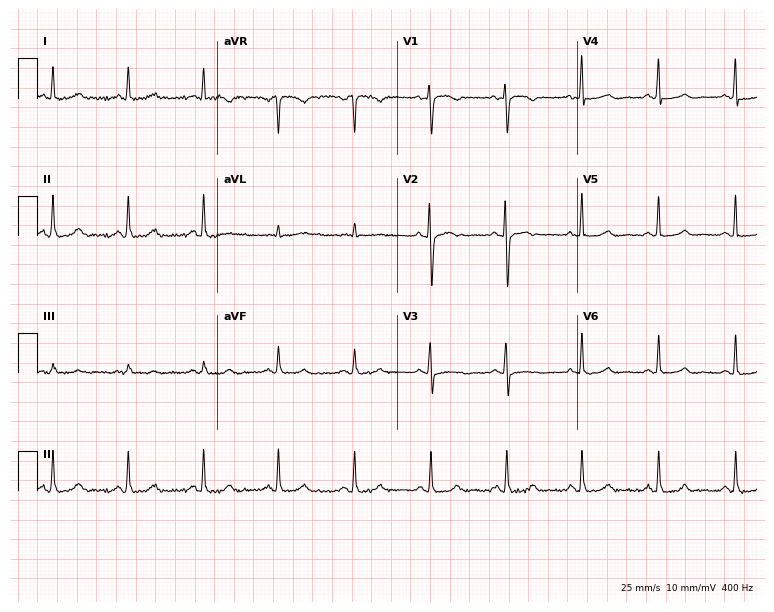
12-lead ECG from an 80-year-old female (7.3-second recording at 400 Hz). No first-degree AV block, right bundle branch block (RBBB), left bundle branch block (LBBB), sinus bradycardia, atrial fibrillation (AF) or sinus tachycardia recorded for this tracing.